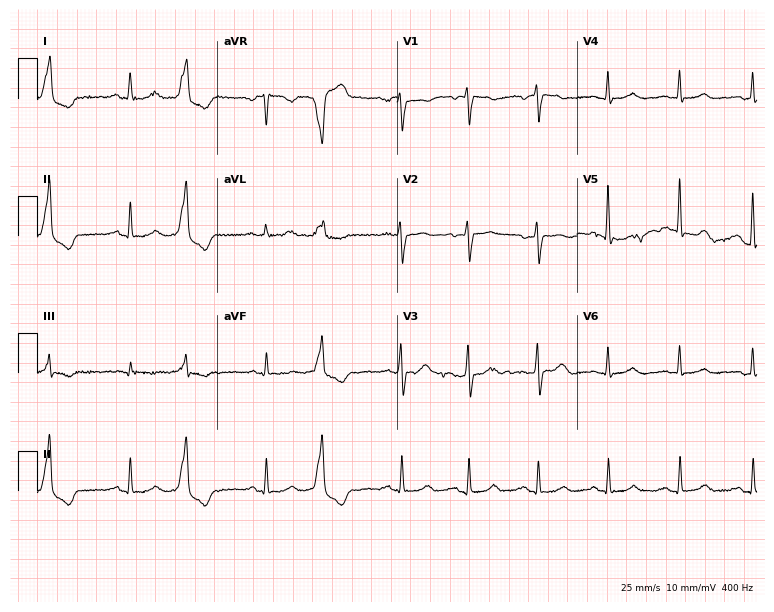
Resting 12-lead electrocardiogram (7.3-second recording at 400 Hz). Patient: a male, 75 years old. Read as a normal ECG.